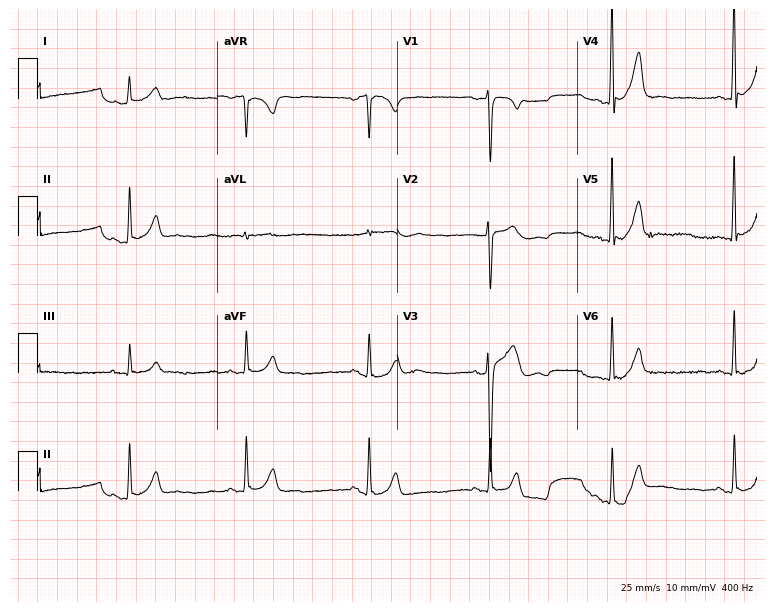
ECG (7.3-second recording at 400 Hz) — a 21-year-old male. Findings include sinus bradycardia (a sinus rate of 50 beats per minute or less).